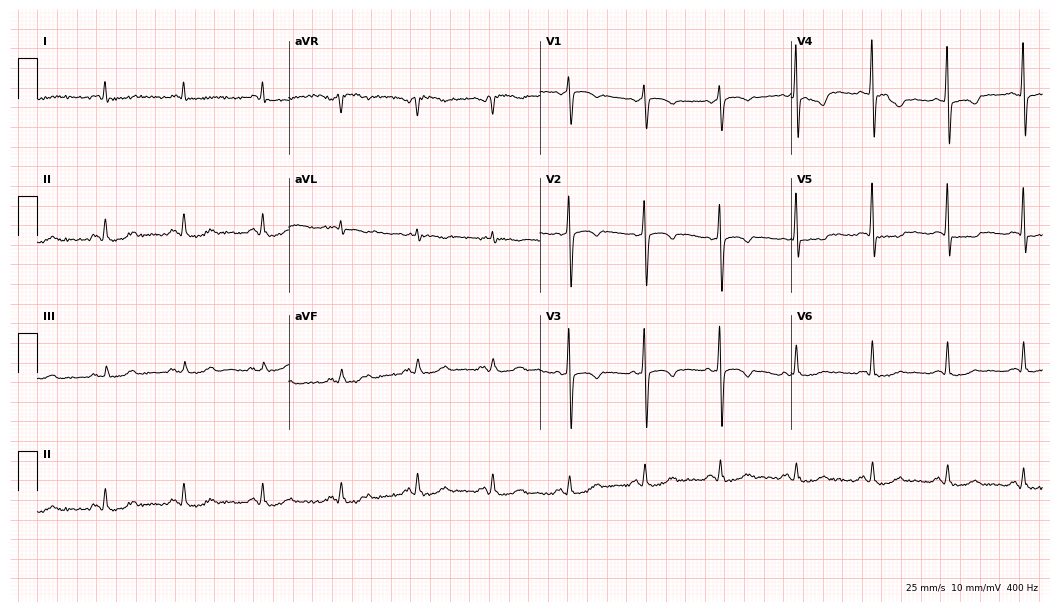
Standard 12-lead ECG recorded from an 81-year-old female patient (10.2-second recording at 400 Hz). Read as a normal ECG.